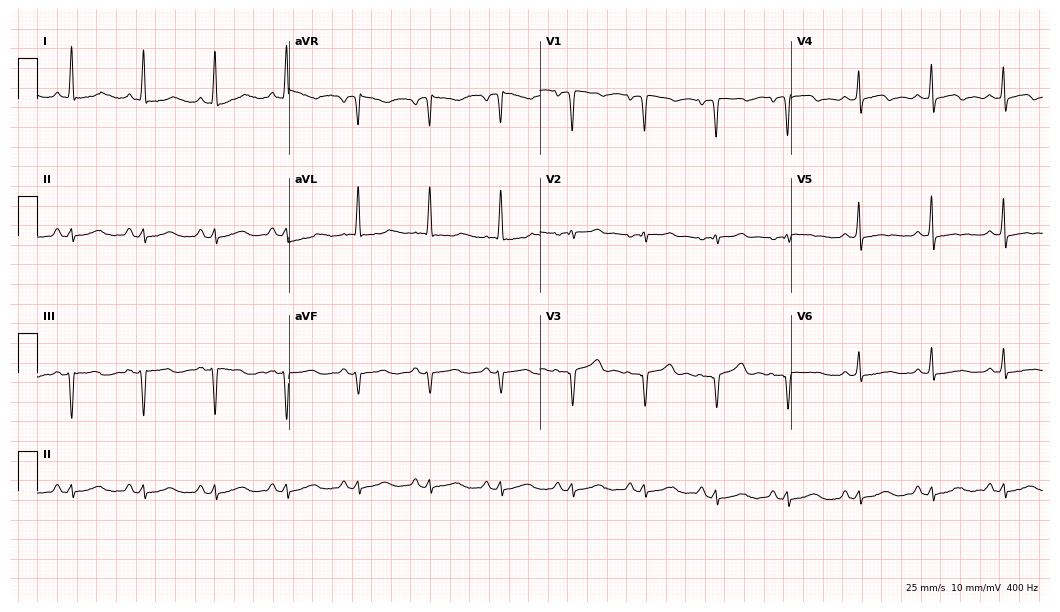
12-lead ECG from a 57-year-old female (10.2-second recording at 400 Hz). No first-degree AV block, right bundle branch block (RBBB), left bundle branch block (LBBB), sinus bradycardia, atrial fibrillation (AF) or sinus tachycardia recorded for this tracing.